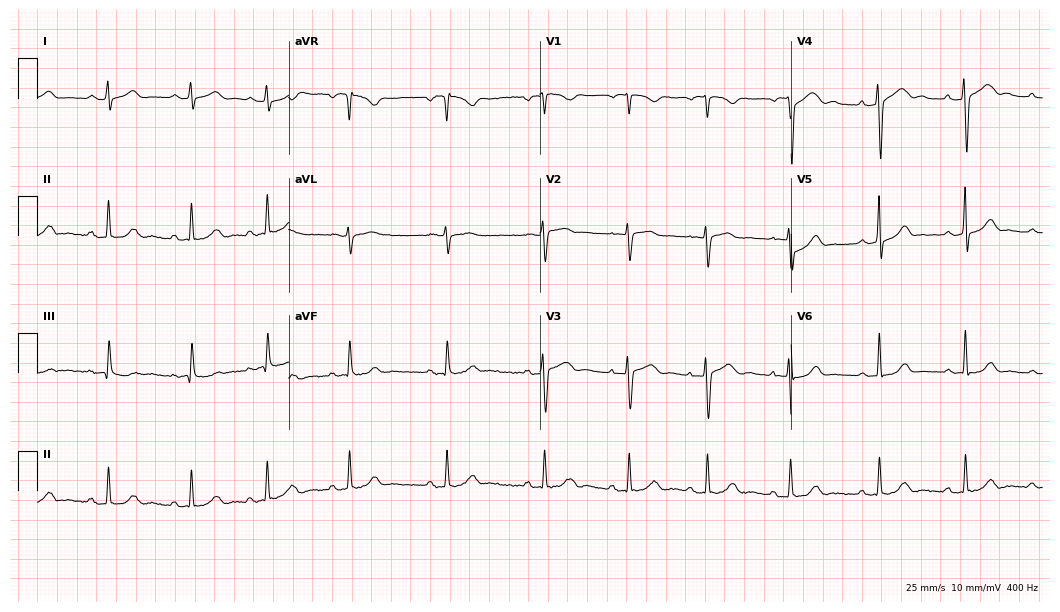
Standard 12-lead ECG recorded from a woman, 28 years old (10.2-second recording at 400 Hz). Read as a normal ECG.